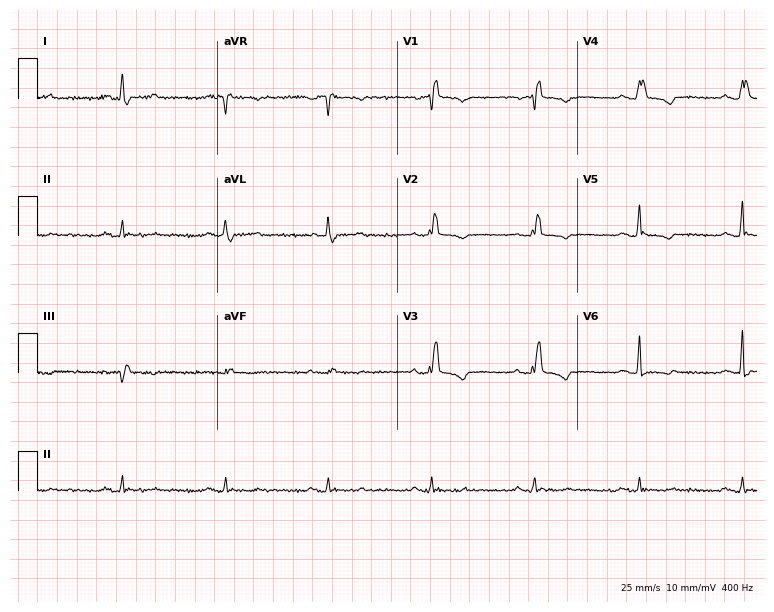
Electrocardiogram, a female patient, 62 years old. Interpretation includes right bundle branch block.